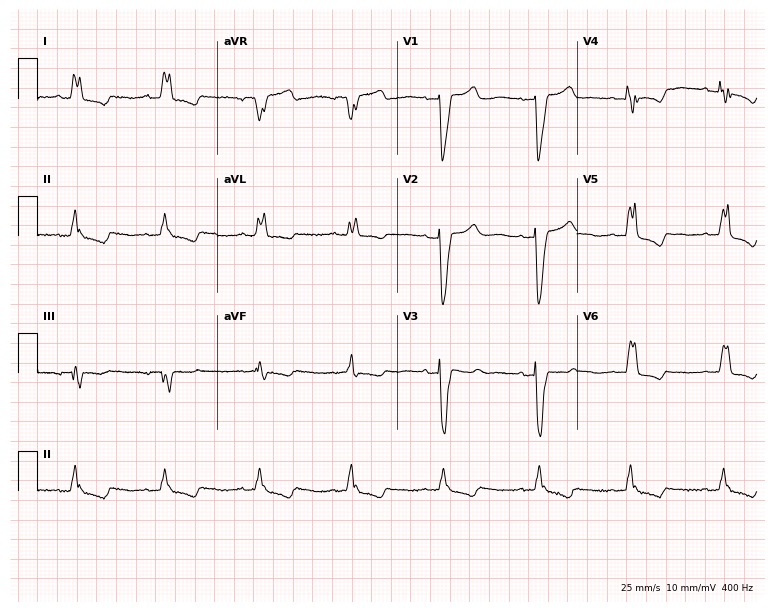
Resting 12-lead electrocardiogram. Patient: a female, 80 years old. The tracing shows left bundle branch block.